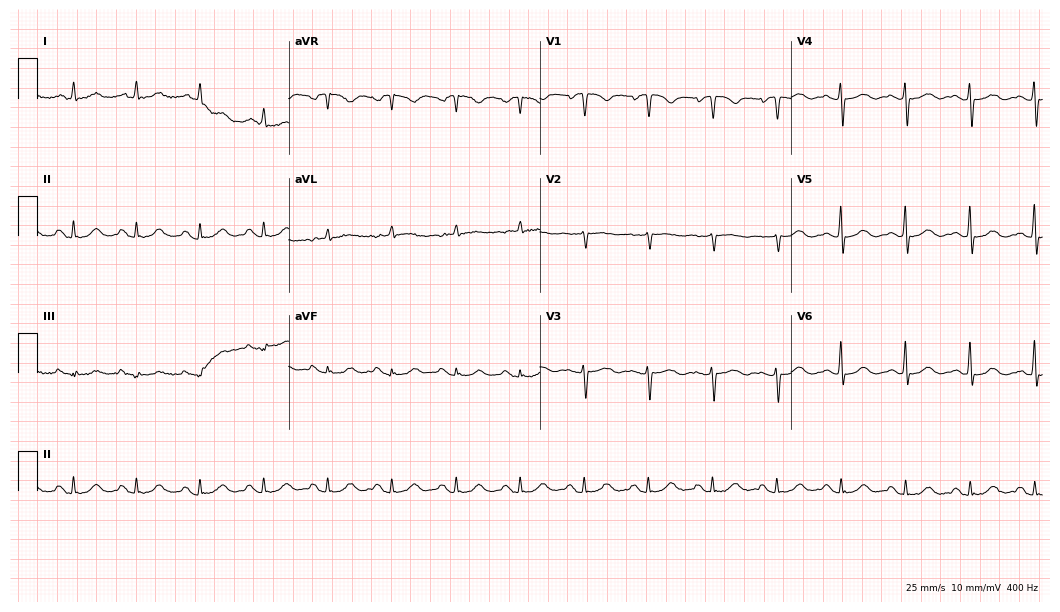
Resting 12-lead electrocardiogram. Patient: an 83-year-old female. None of these six findings is recorded: first-degree AV block, right bundle branch block, left bundle branch block, sinus bradycardia, atrial fibrillation, sinus tachycardia. Other findings, if any, are not listed.